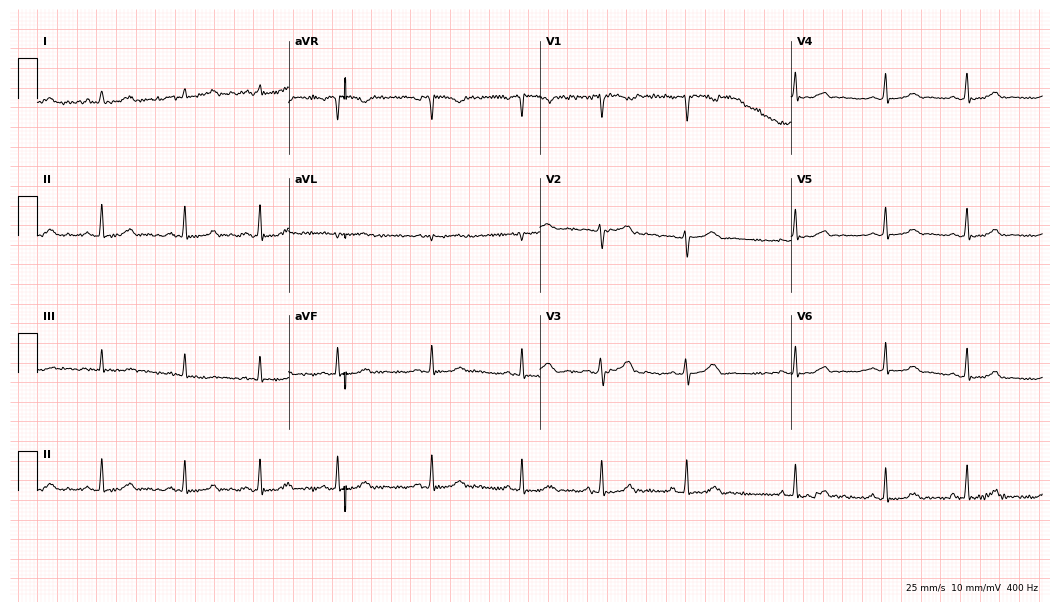
12-lead ECG (10.2-second recording at 400 Hz) from a 30-year-old woman. Labelled as a normal ECG.